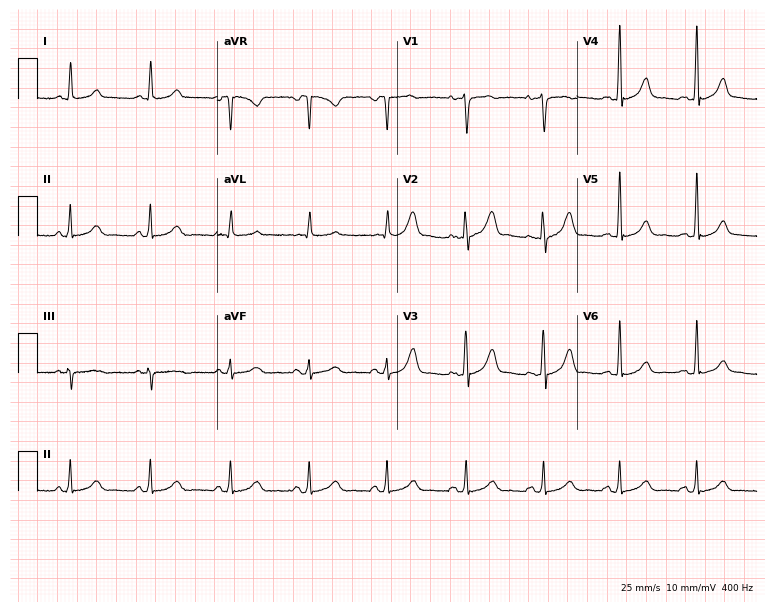
Electrocardiogram (7.3-second recording at 400 Hz), a female patient, 31 years old. Overall reading on record: normal ECG.